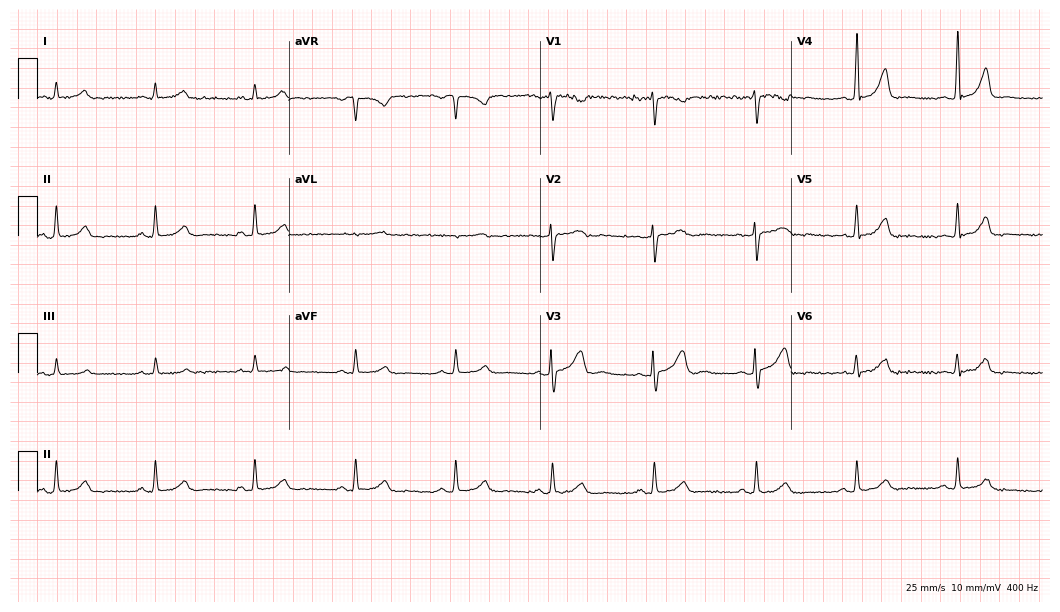
Standard 12-lead ECG recorded from a female, 41 years old. Read as a normal ECG.